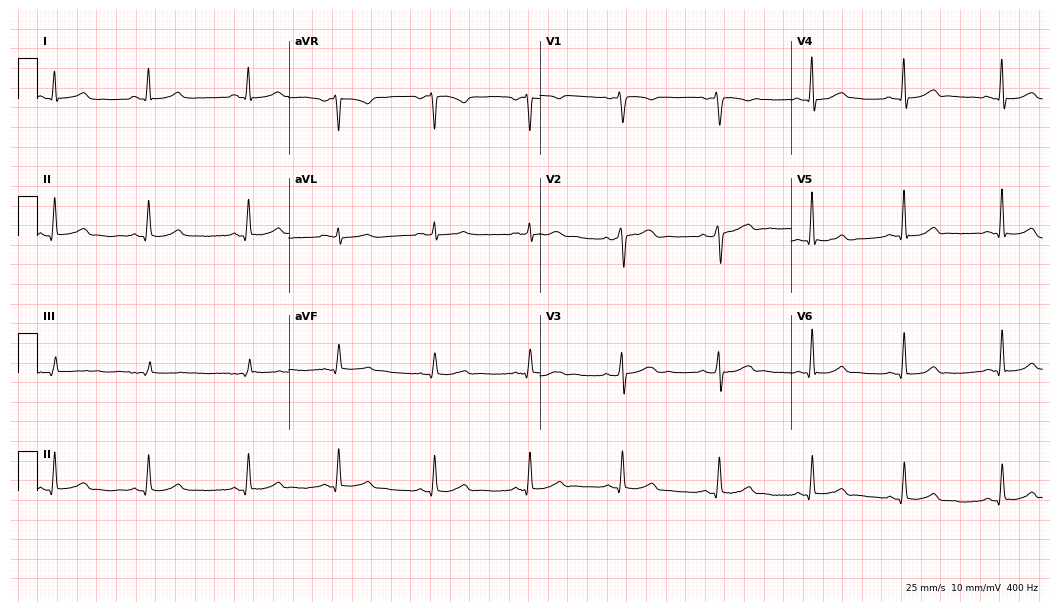
Standard 12-lead ECG recorded from a 58-year-old male. Read as a normal ECG.